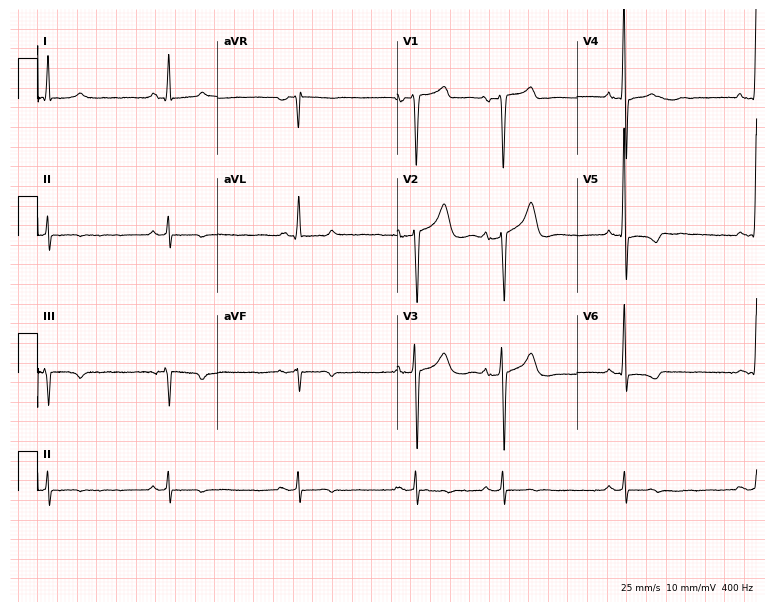
12-lead ECG from a 62-year-old male. Screened for six findings — first-degree AV block, right bundle branch block, left bundle branch block, sinus bradycardia, atrial fibrillation, sinus tachycardia — none is recorded.